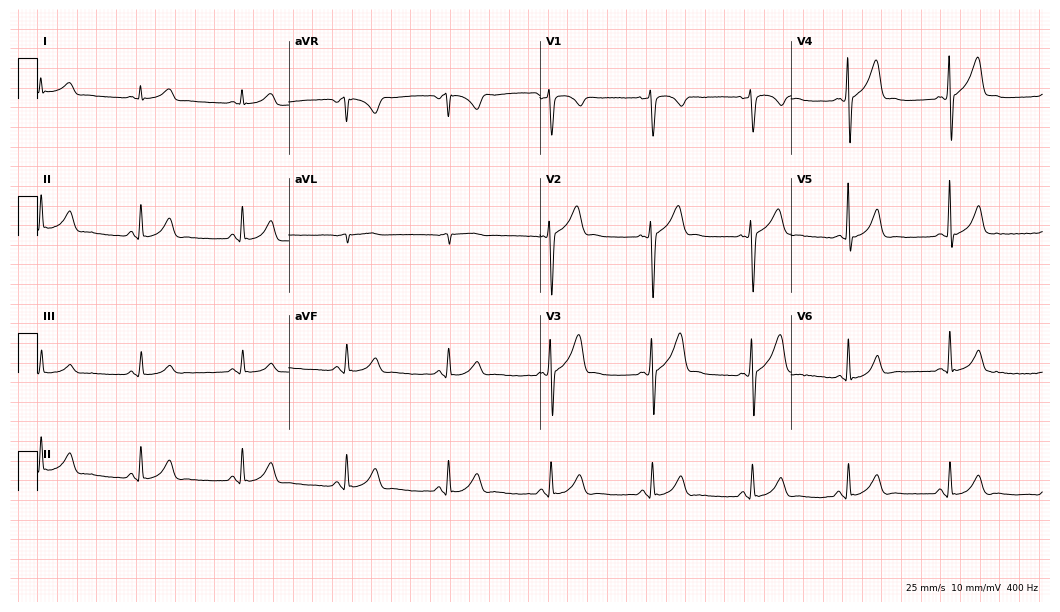
Standard 12-lead ECG recorded from a male, 41 years old. None of these six findings is recorded: first-degree AV block, right bundle branch block (RBBB), left bundle branch block (LBBB), sinus bradycardia, atrial fibrillation (AF), sinus tachycardia. Other findings, if any, are not listed.